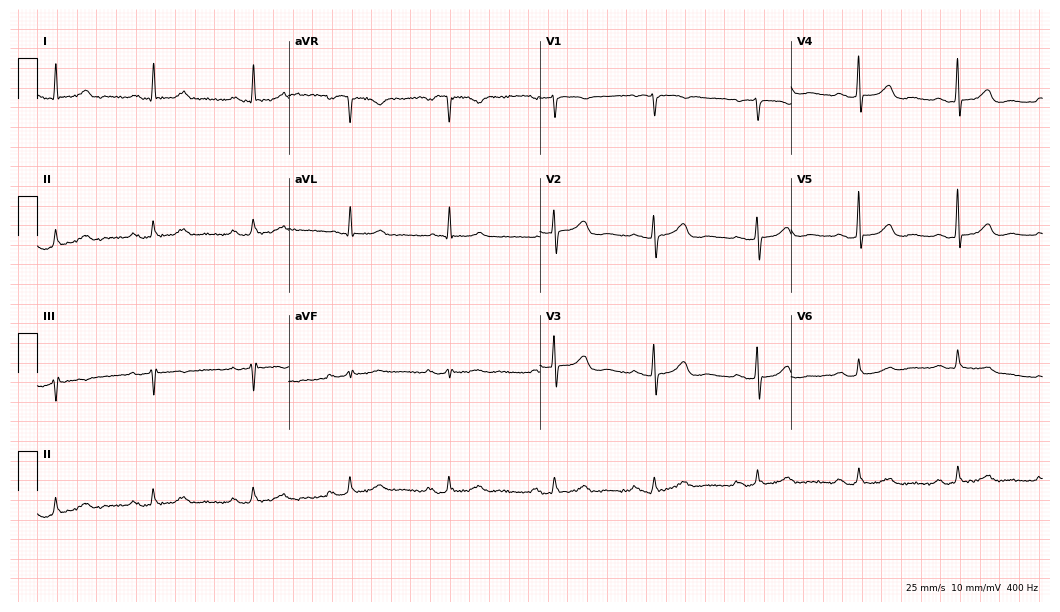
12-lead ECG from a woman, 71 years old. No first-degree AV block, right bundle branch block, left bundle branch block, sinus bradycardia, atrial fibrillation or sinus tachycardia recorded for this tracing. Other findings, if any, are not listed.